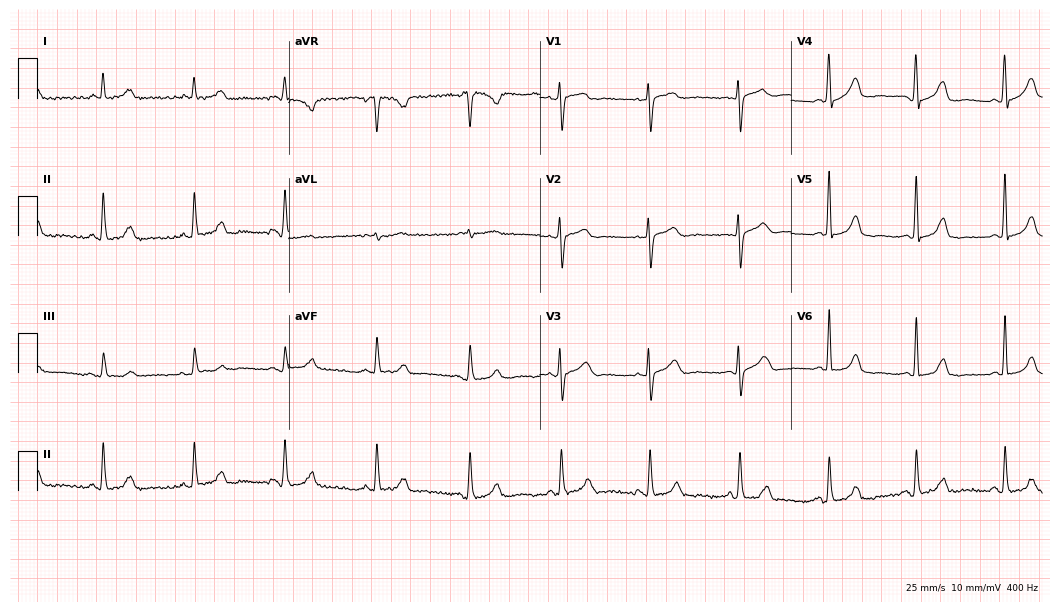
Electrocardiogram, a woman, 62 years old. Of the six screened findings (first-degree AV block, right bundle branch block, left bundle branch block, sinus bradycardia, atrial fibrillation, sinus tachycardia), none is recorded. Only these six findings were labelled.